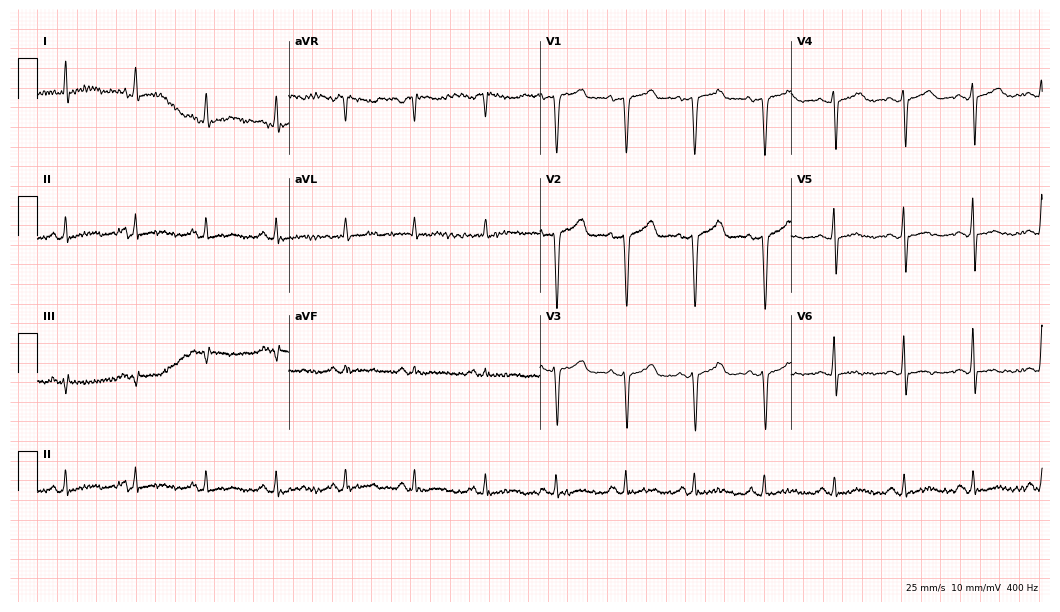
Standard 12-lead ECG recorded from a woman, 54 years old (10.2-second recording at 400 Hz). Read as a normal ECG.